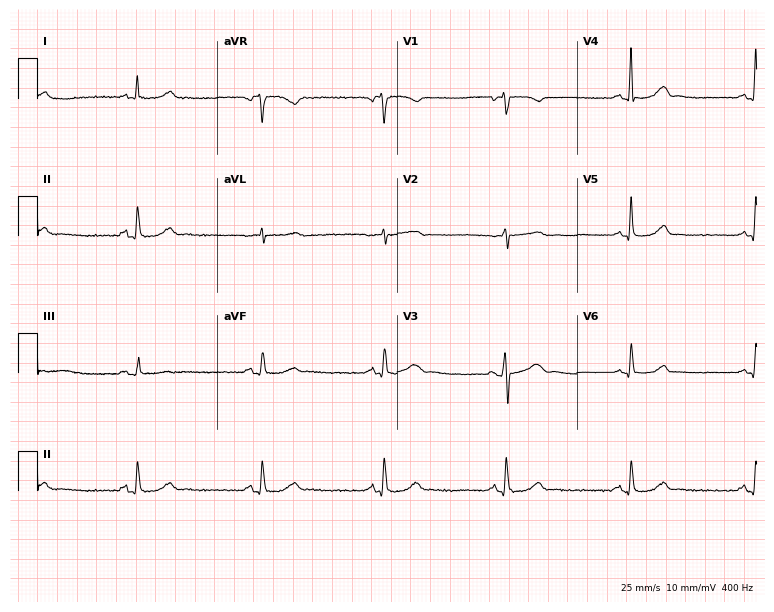
12-lead ECG (7.3-second recording at 400 Hz) from a 61-year-old woman. Findings include sinus bradycardia (a sinus rate of 50 beats per minute or less).